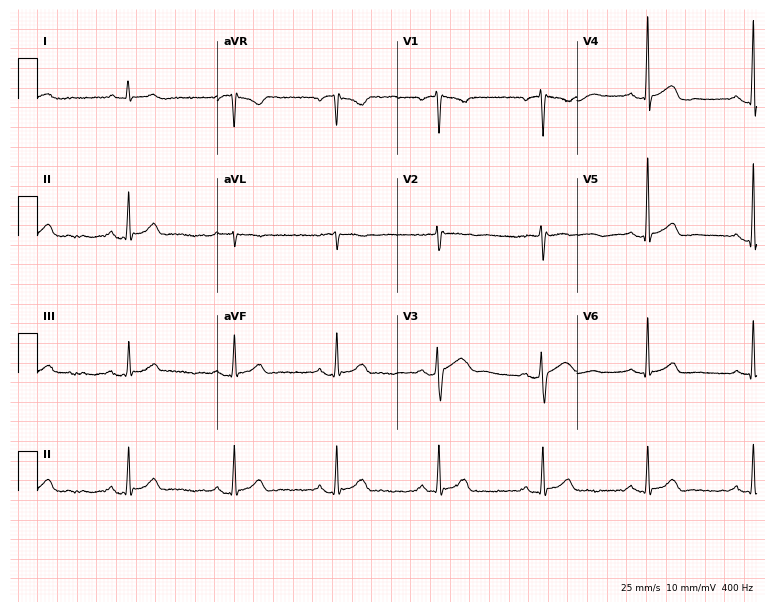
Electrocardiogram, a male, 46 years old. Overall reading on record: normal ECG.